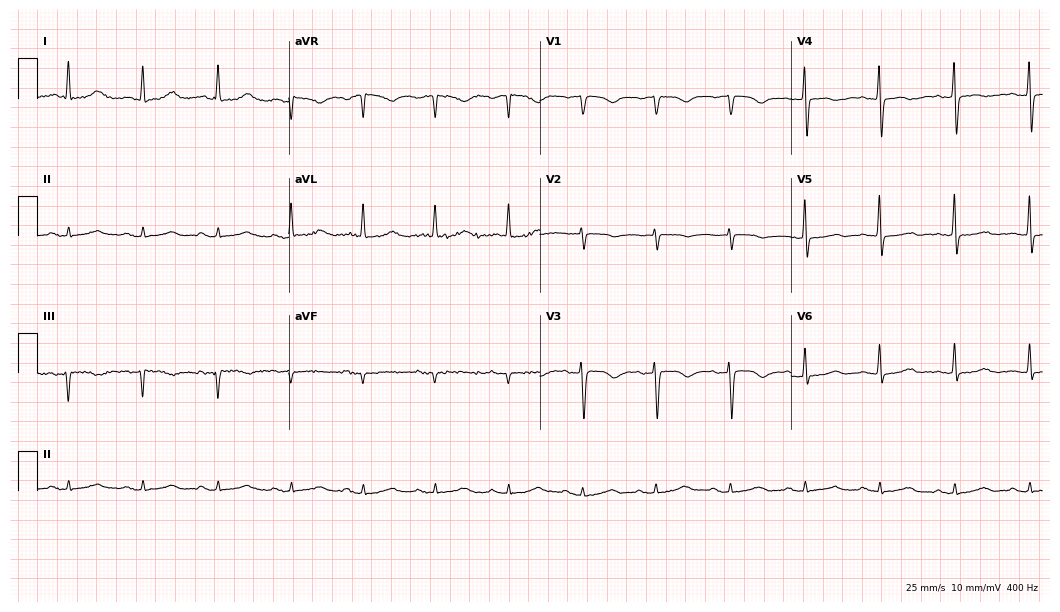
12-lead ECG from a 78-year-old female patient. No first-degree AV block, right bundle branch block (RBBB), left bundle branch block (LBBB), sinus bradycardia, atrial fibrillation (AF) or sinus tachycardia recorded for this tracing. Other findings, if any, are not listed.